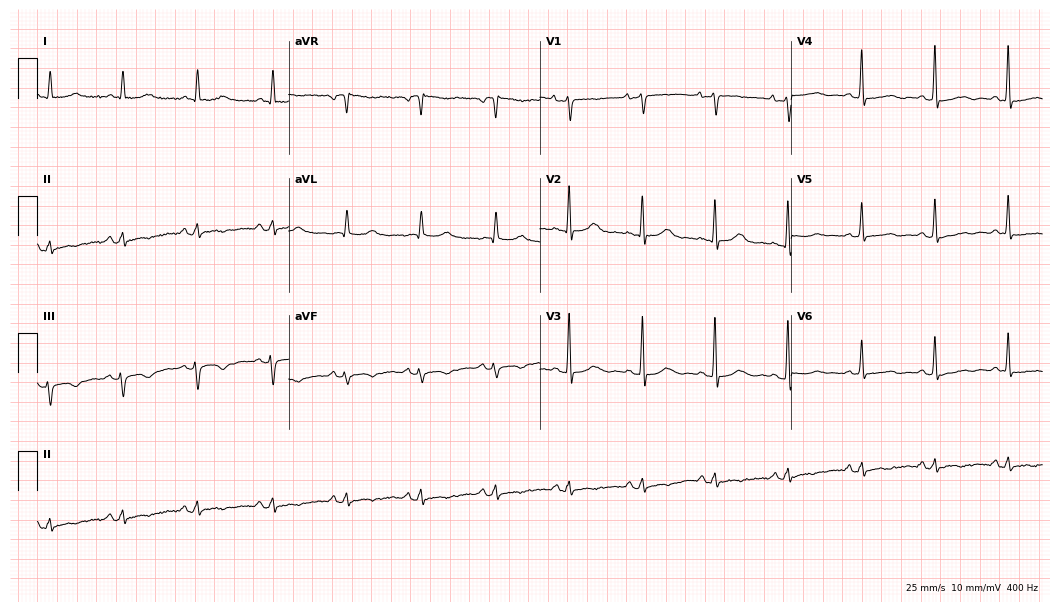
12-lead ECG from a woman, 46 years old. Screened for six findings — first-degree AV block, right bundle branch block, left bundle branch block, sinus bradycardia, atrial fibrillation, sinus tachycardia — none is recorded.